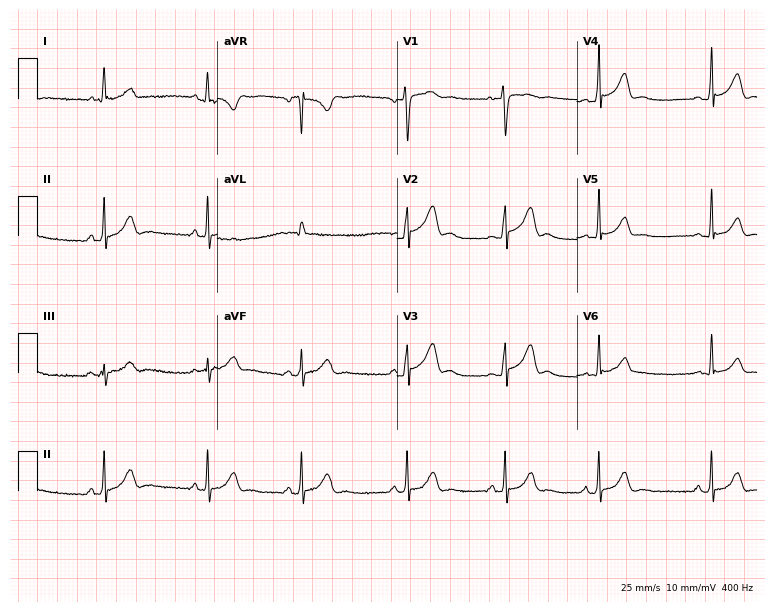
ECG — a female, 22 years old. Screened for six findings — first-degree AV block, right bundle branch block, left bundle branch block, sinus bradycardia, atrial fibrillation, sinus tachycardia — none is recorded. Findings outside these six are not listed.